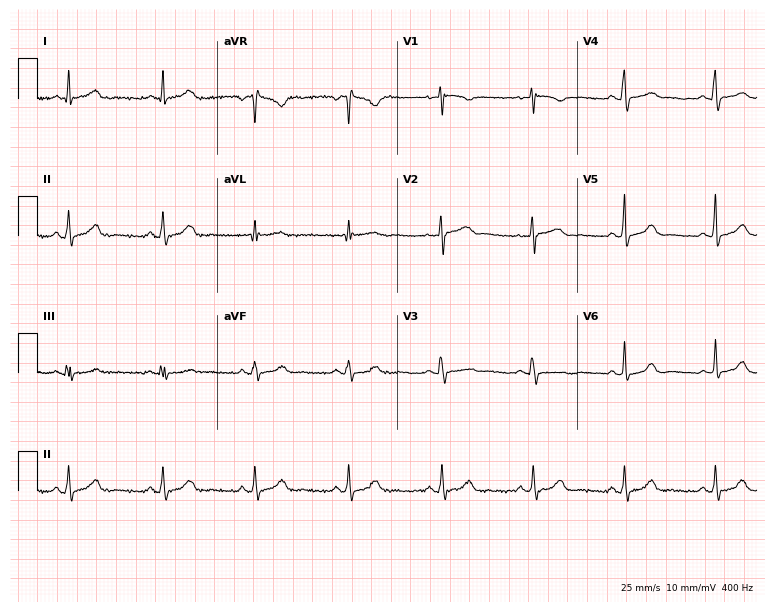
ECG — a female, 31 years old. Labelled as a normal ECG.